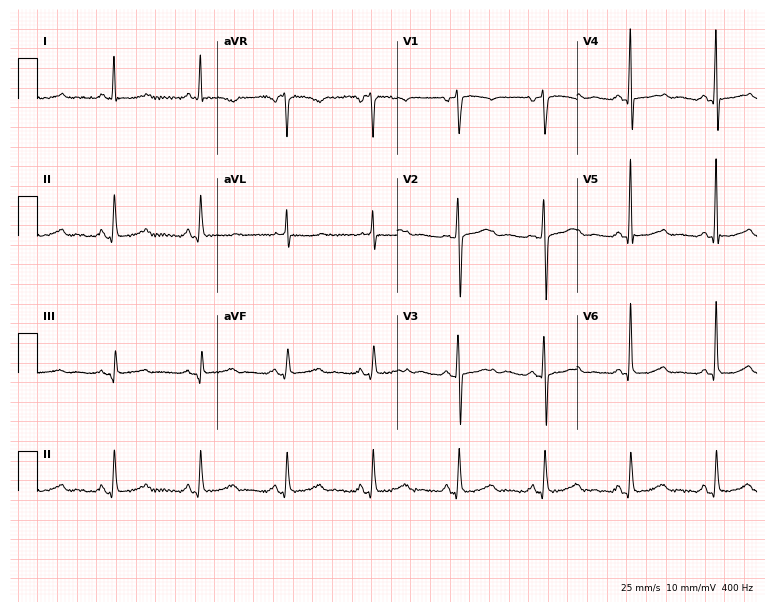
12-lead ECG (7.3-second recording at 400 Hz) from a female patient, 71 years old. Screened for six findings — first-degree AV block, right bundle branch block (RBBB), left bundle branch block (LBBB), sinus bradycardia, atrial fibrillation (AF), sinus tachycardia — none is recorded. Only these six findings were labelled.